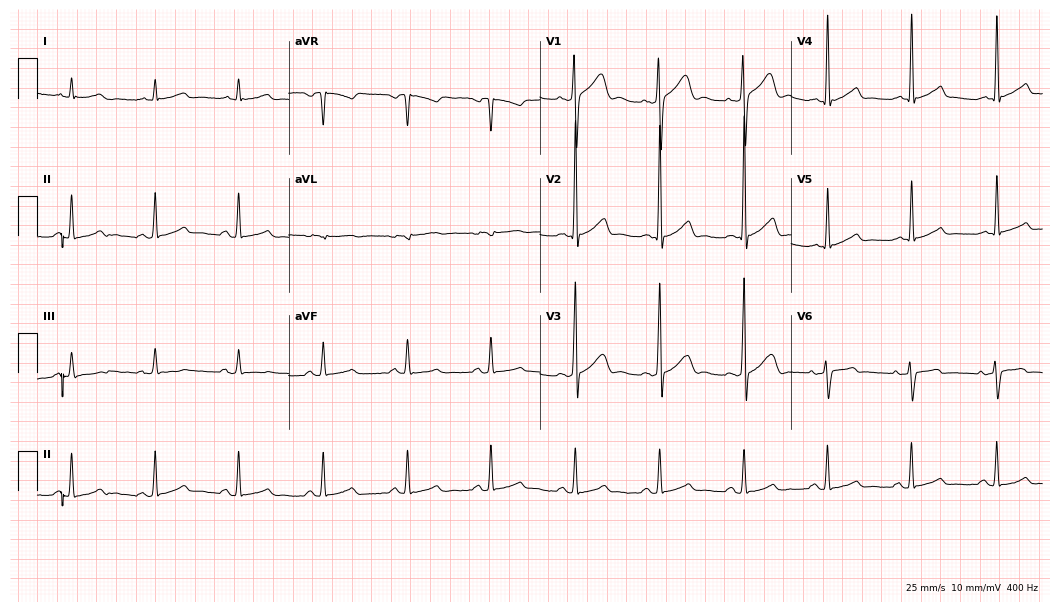
Standard 12-lead ECG recorded from a male patient, 45 years old (10.2-second recording at 400 Hz). None of these six findings is recorded: first-degree AV block, right bundle branch block (RBBB), left bundle branch block (LBBB), sinus bradycardia, atrial fibrillation (AF), sinus tachycardia.